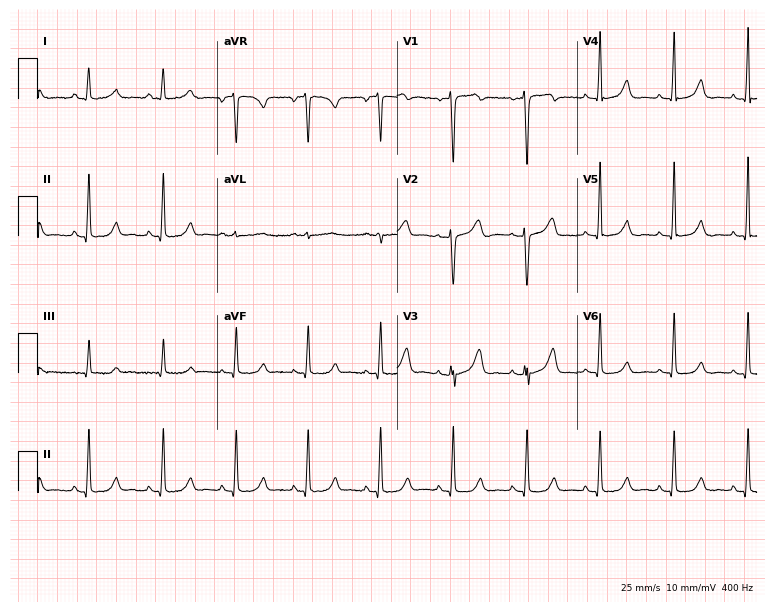
Standard 12-lead ECG recorded from a female, 64 years old. None of these six findings is recorded: first-degree AV block, right bundle branch block (RBBB), left bundle branch block (LBBB), sinus bradycardia, atrial fibrillation (AF), sinus tachycardia. Other findings, if any, are not listed.